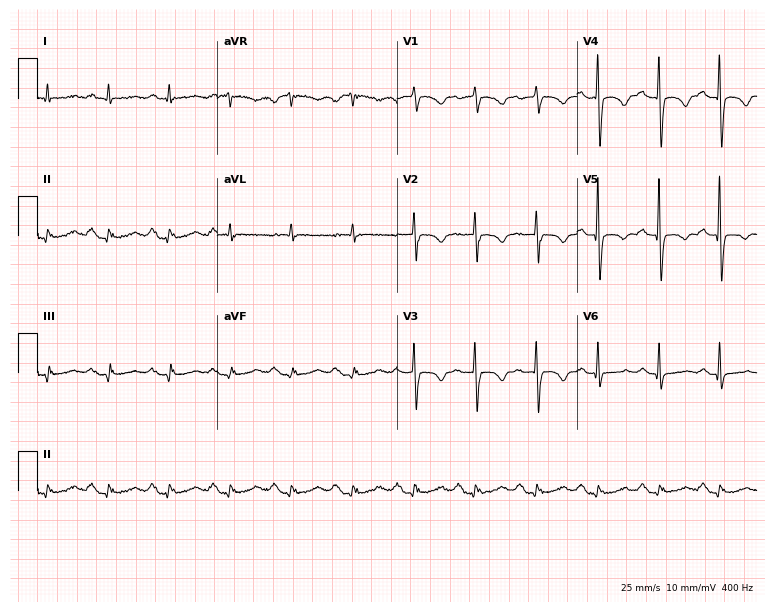
ECG — a woman, 71 years old. Screened for six findings — first-degree AV block, right bundle branch block, left bundle branch block, sinus bradycardia, atrial fibrillation, sinus tachycardia — none is recorded.